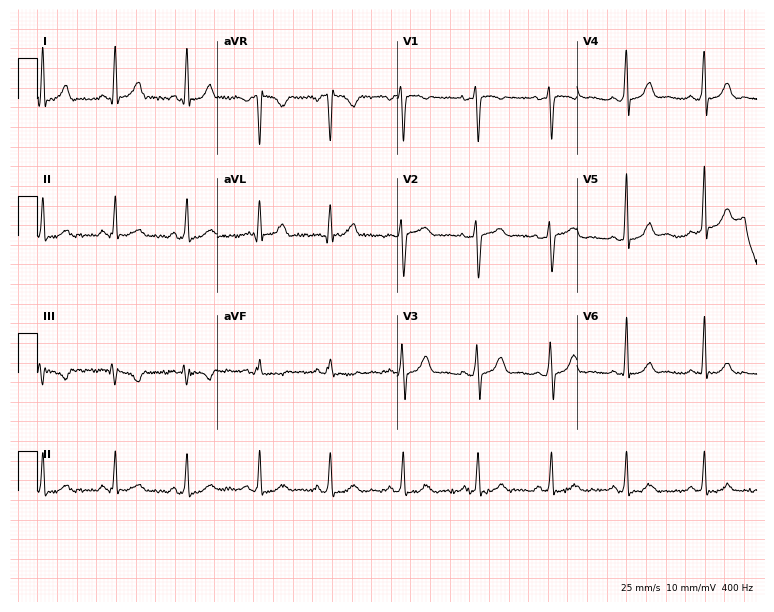
Electrocardiogram (7.3-second recording at 400 Hz), a 23-year-old female patient. Of the six screened findings (first-degree AV block, right bundle branch block, left bundle branch block, sinus bradycardia, atrial fibrillation, sinus tachycardia), none is recorded.